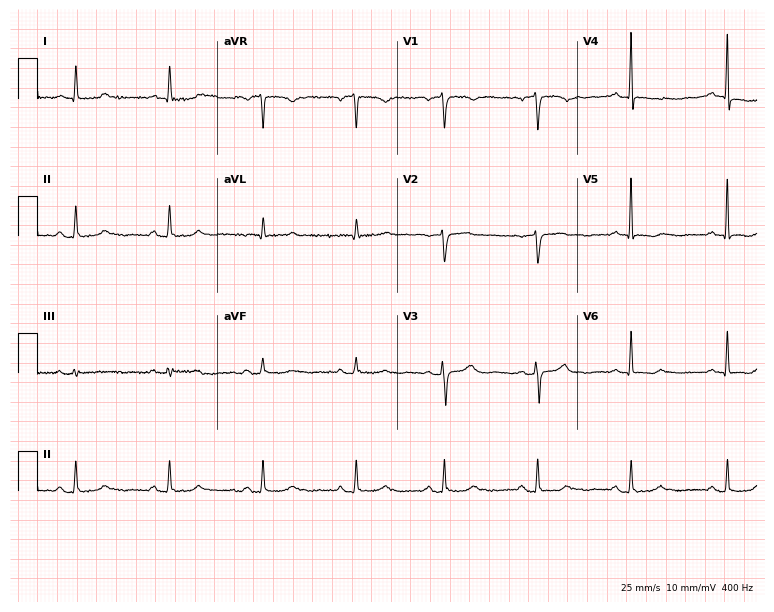
12-lead ECG from a female patient, 72 years old. Screened for six findings — first-degree AV block, right bundle branch block (RBBB), left bundle branch block (LBBB), sinus bradycardia, atrial fibrillation (AF), sinus tachycardia — none is recorded.